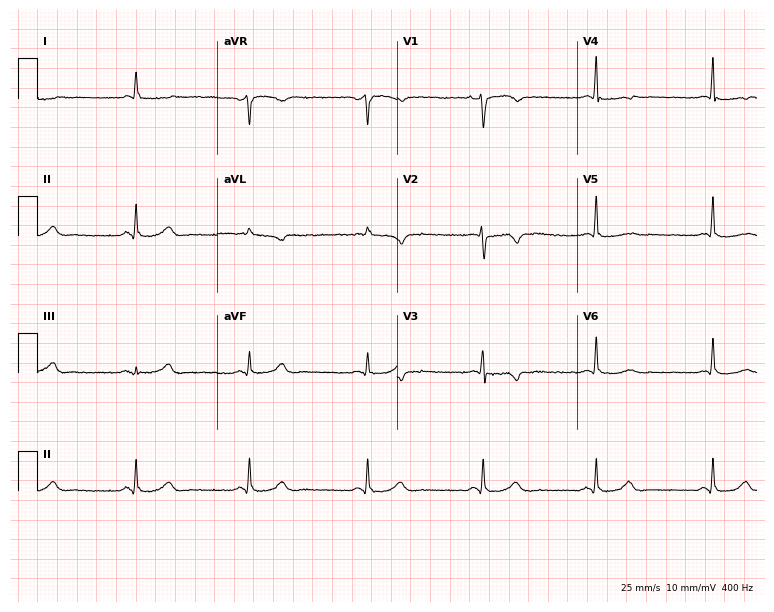
Resting 12-lead electrocardiogram (7.3-second recording at 400 Hz). Patient: a 76-year-old female. None of these six findings is recorded: first-degree AV block, right bundle branch block, left bundle branch block, sinus bradycardia, atrial fibrillation, sinus tachycardia. Findings outside these six are not listed.